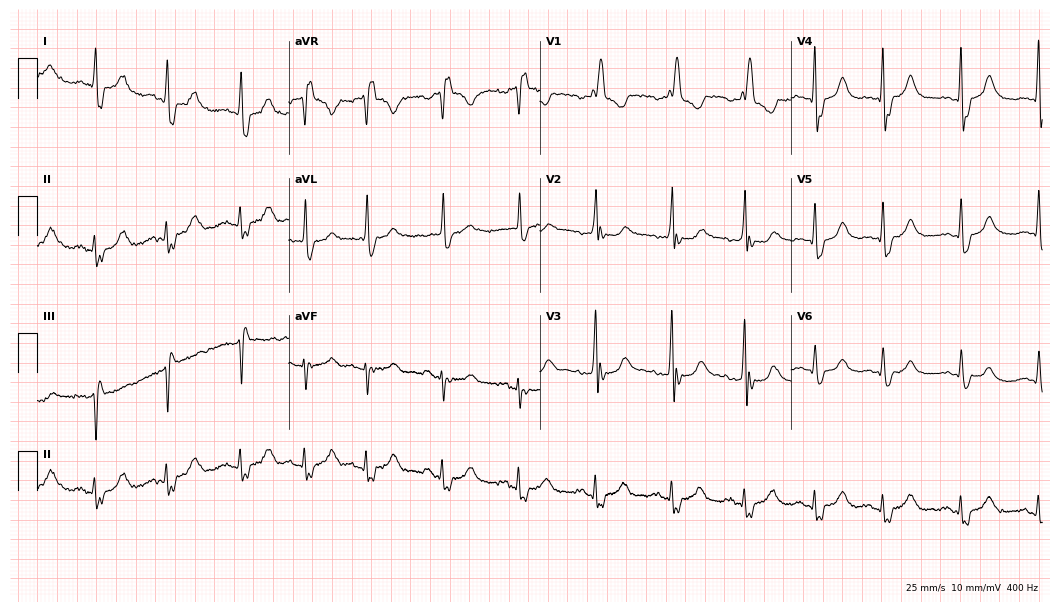
Electrocardiogram, a 75-year-old female. Interpretation includes right bundle branch block.